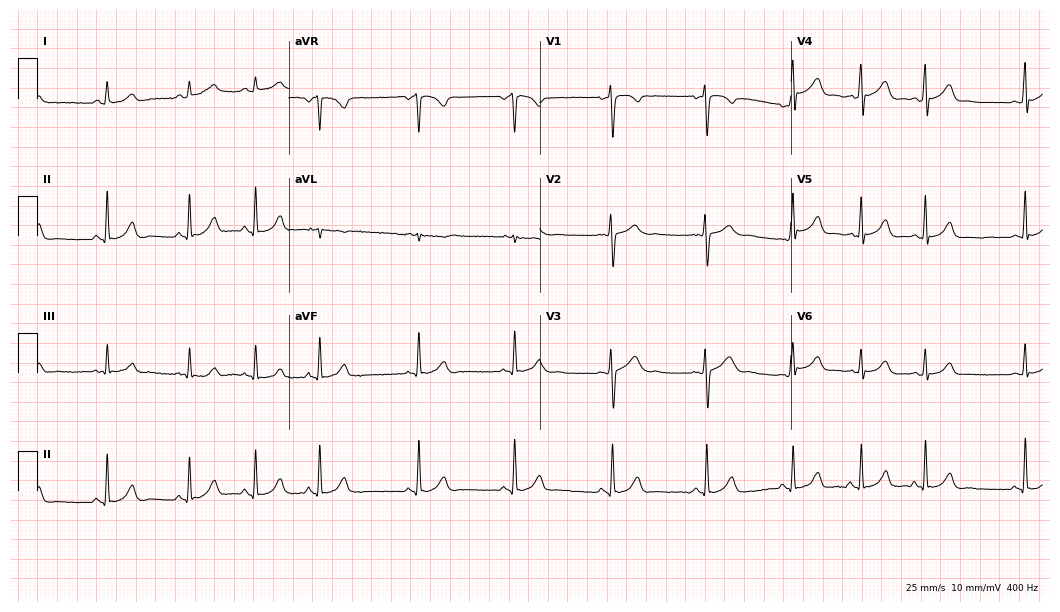
Resting 12-lead electrocardiogram (10.2-second recording at 400 Hz). Patient: an 18-year-old woman. Read as a normal ECG.